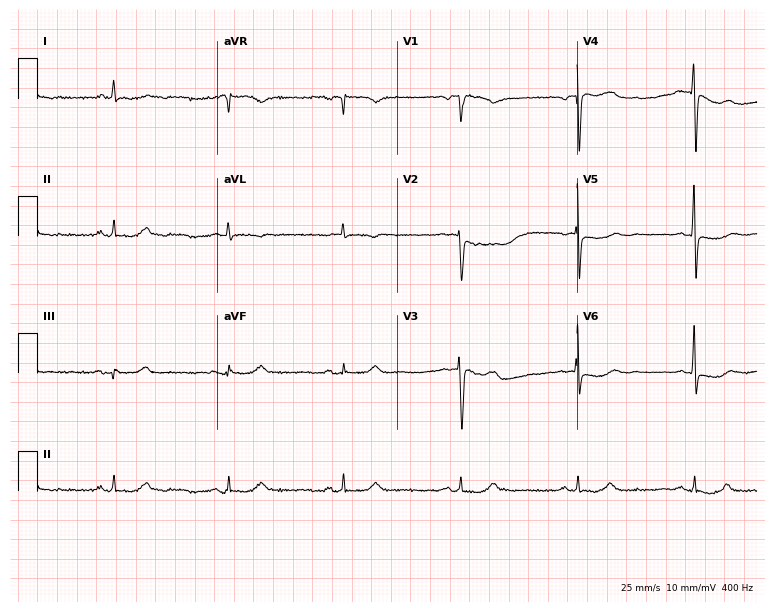
12-lead ECG (7.3-second recording at 400 Hz) from an 80-year-old man. Findings include sinus bradycardia (a sinus rate of 50 beats per minute or less).